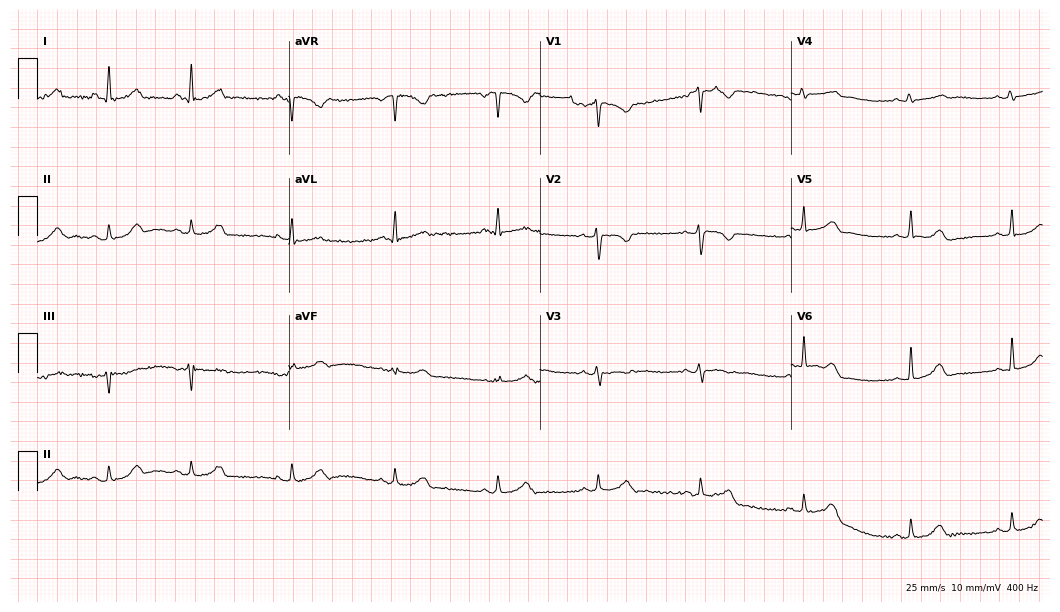
Standard 12-lead ECG recorded from a female patient, 42 years old (10.2-second recording at 400 Hz). Read as a normal ECG.